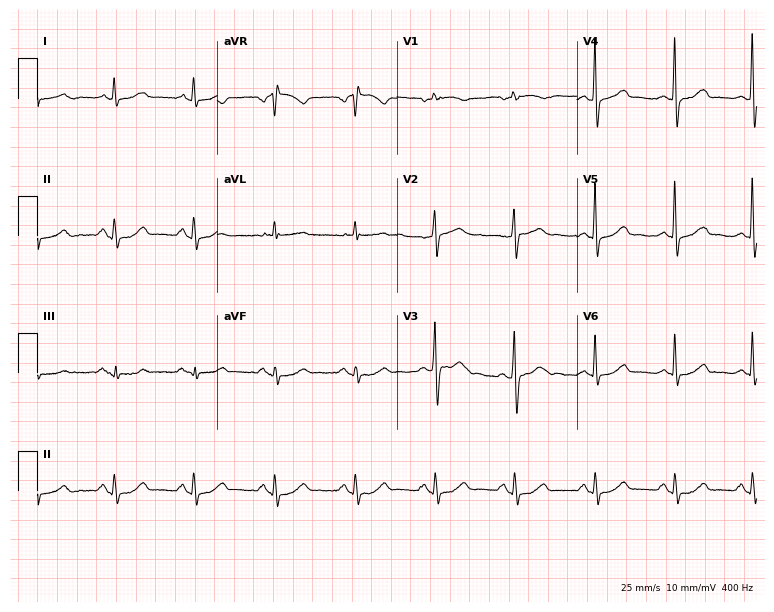
12-lead ECG (7.3-second recording at 400 Hz) from a woman, 66 years old. Labelled as a normal ECG.